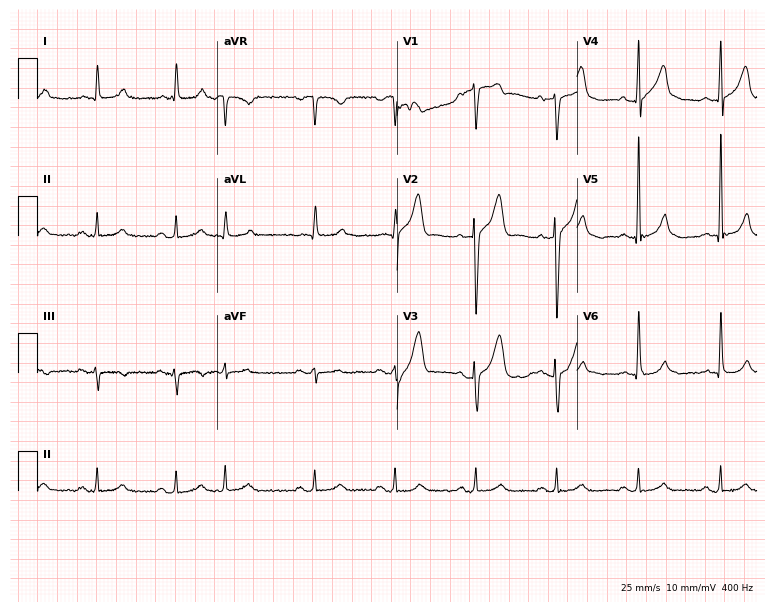
12-lead ECG from an 80-year-old male. No first-degree AV block, right bundle branch block, left bundle branch block, sinus bradycardia, atrial fibrillation or sinus tachycardia recorded for this tracing. Findings outside these six are not listed.